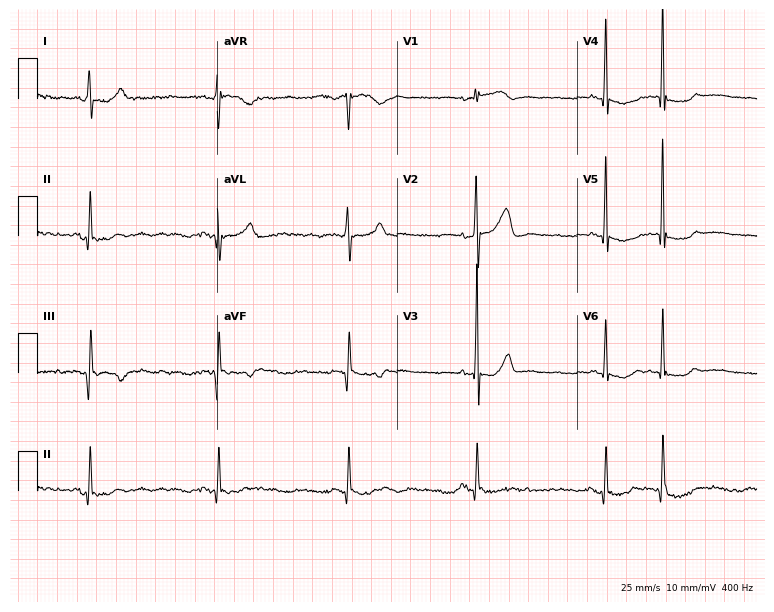
Resting 12-lead electrocardiogram (7.3-second recording at 400 Hz). Patient: an 81-year-old male. None of these six findings is recorded: first-degree AV block, right bundle branch block (RBBB), left bundle branch block (LBBB), sinus bradycardia, atrial fibrillation (AF), sinus tachycardia. Findings outside these six are not listed.